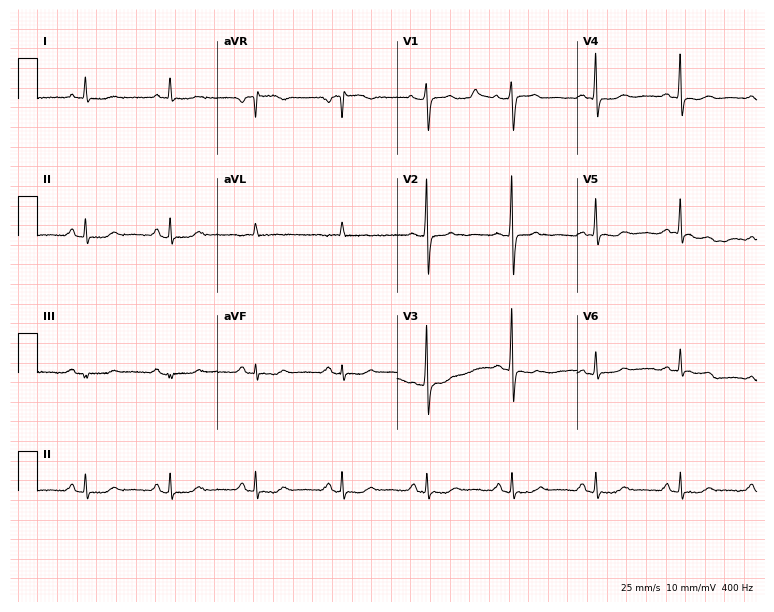
ECG — a female, 66 years old. Labelled as a normal ECG.